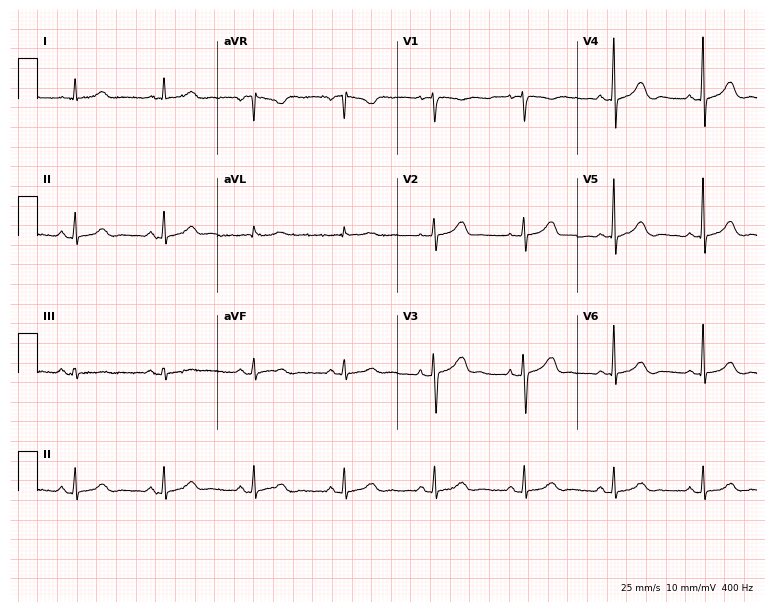
Electrocardiogram (7.3-second recording at 400 Hz), a 69-year-old female patient. Overall reading on record: normal ECG.